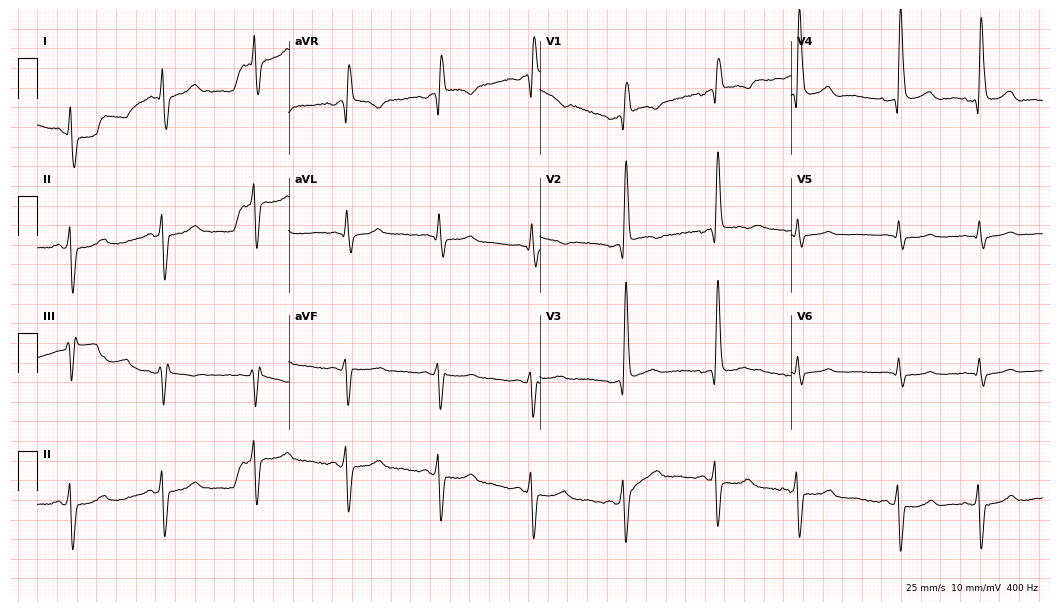
Electrocardiogram (10.2-second recording at 400 Hz), a woman, 76 years old. Interpretation includes right bundle branch block.